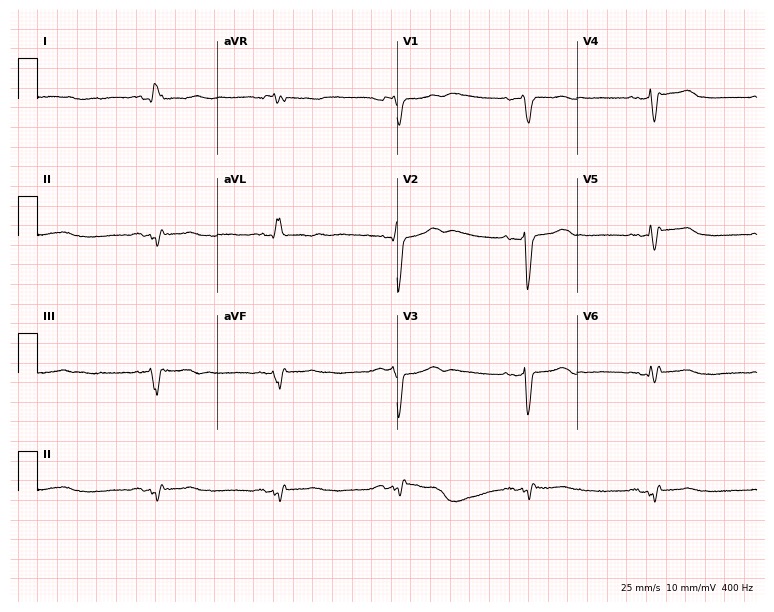
ECG — a female patient, 61 years old. Screened for six findings — first-degree AV block, right bundle branch block, left bundle branch block, sinus bradycardia, atrial fibrillation, sinus tachycardia — none is recorded. Other findings, if any, are not listed.